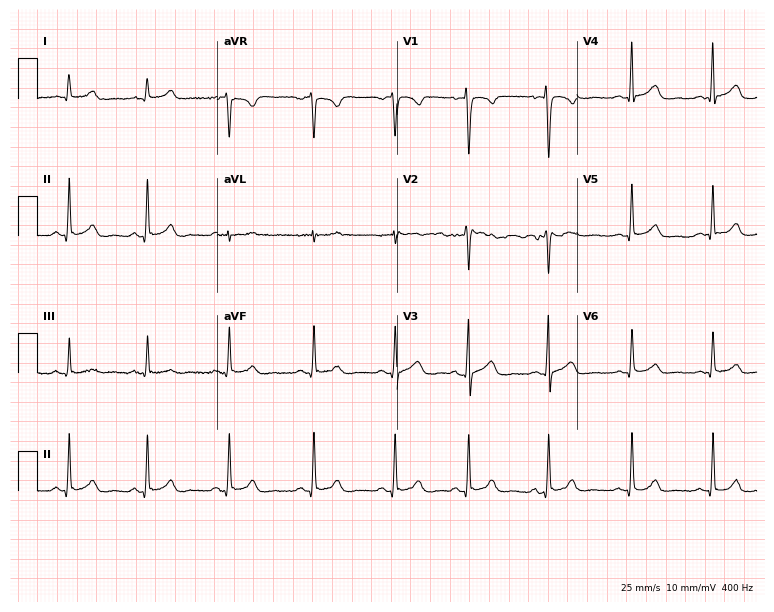
Resting 12-lead electrocardiogram (7.3-second recording at 400 Hz). Patient: a 20-year-old female. Read as a normal ECG.